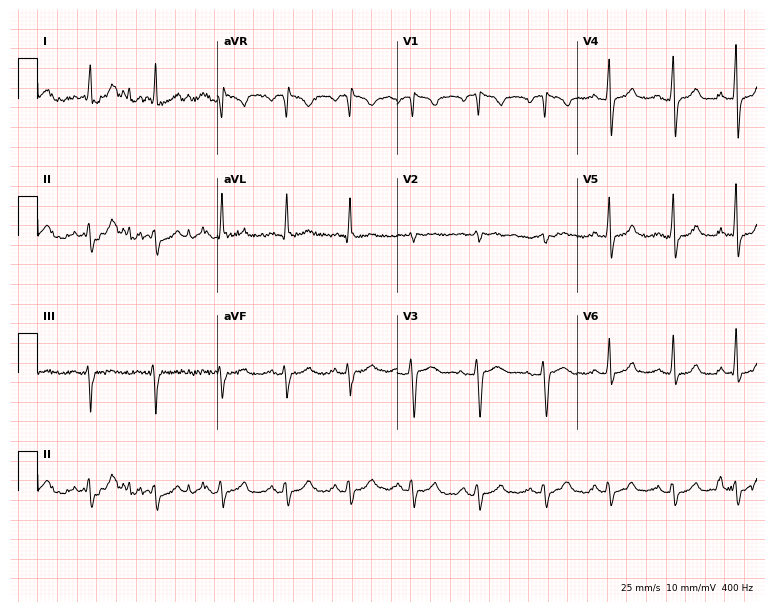
ECG (7.3-second recording at 400 Hz) — a 44-year-old female. Screened for six findings — first-degree AV block, right bundle branch block (RBBB), left bundle branch block (LBBB), sinus bradycardia, atrial fibrillation (AF), sinus tachycardia — none is recorded. Findings outside these six are not listed.